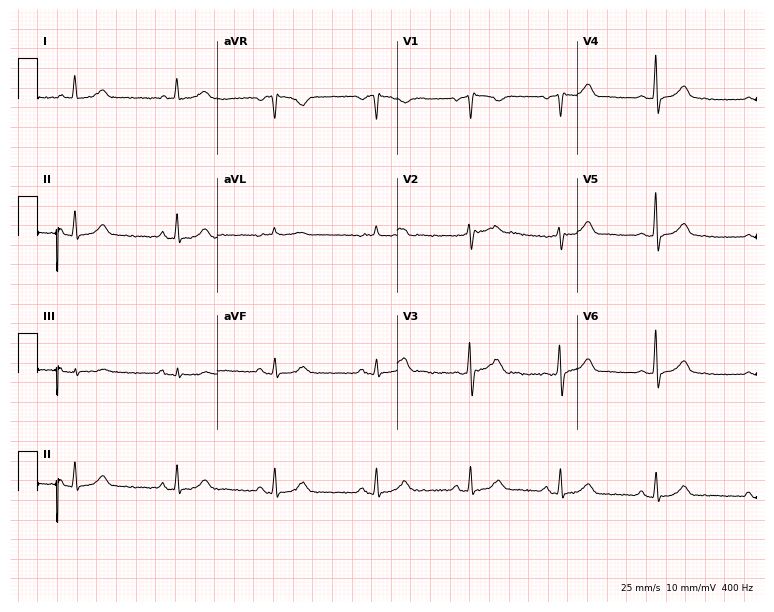
ECG — a female patient, 52 years old. Screened for six findings — first-degree AV block, right bundle branch block, left bundle branch block, sinus bradycardia, atrial fibrillation, sinus tachycardia — none is recorded.